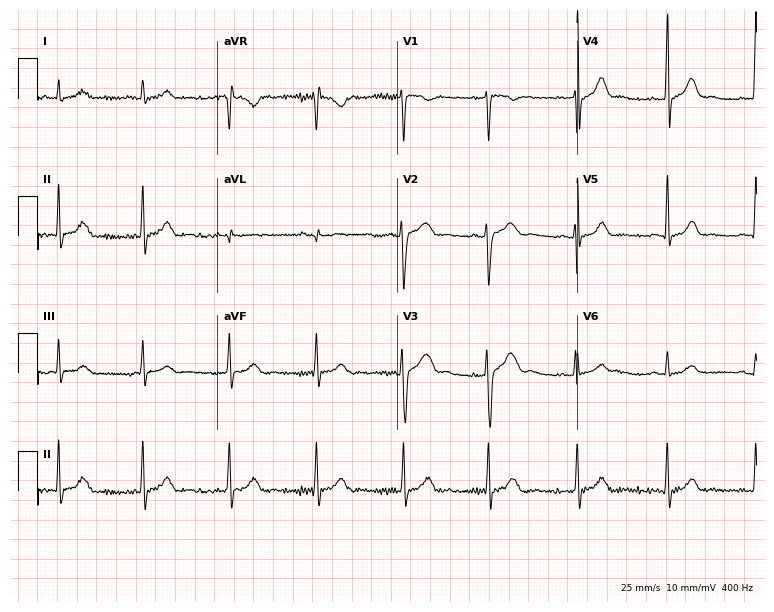
Electrocardiogram (7.3-second recording at 400 Hz), a female, 39 years old. Overall reading on record: normal ECG.